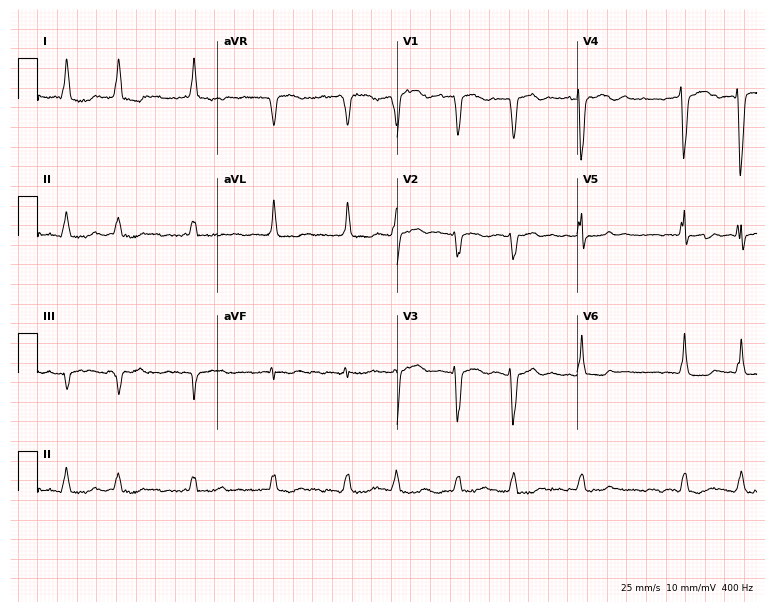
12-lead ECG from a 72-year-old woman. Findings include atrial fibrillation (AF).